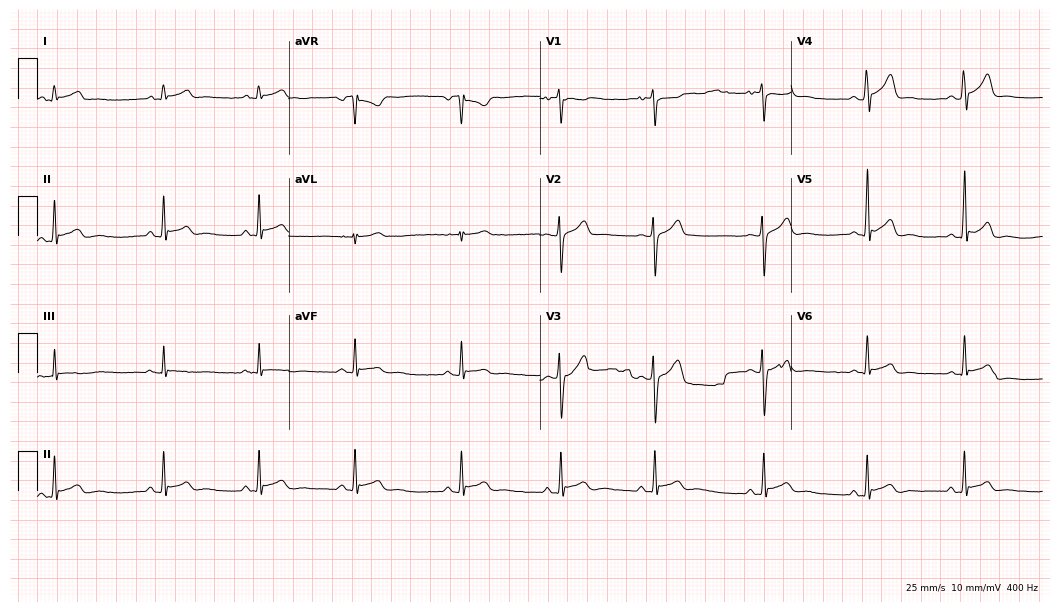
Electrocardiogram, a male, 24 years old. Overall reading on record: normal ECG.